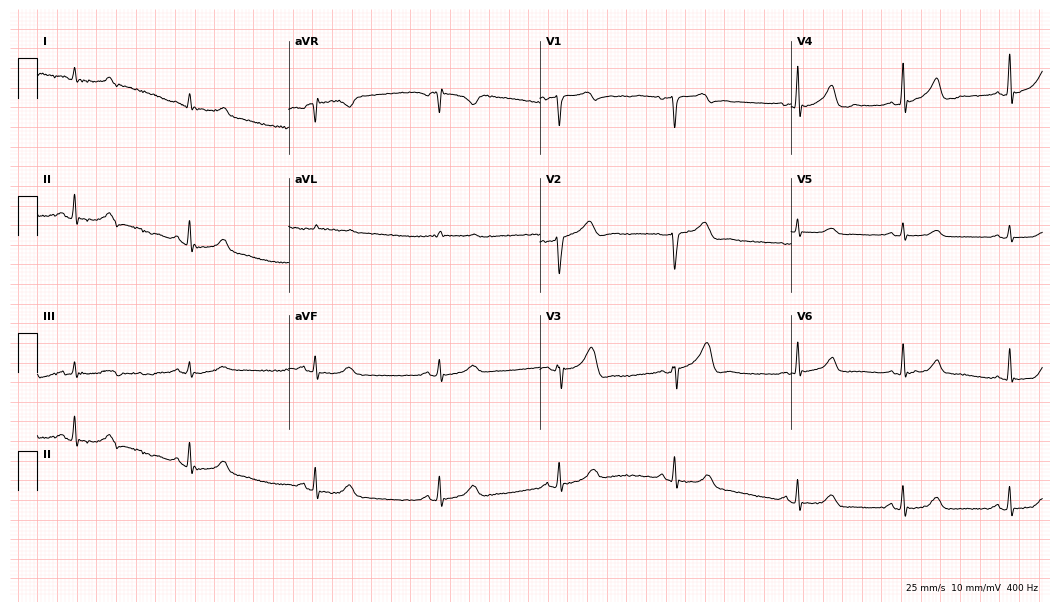
Electrocardiogram, a male, 61 years old. Of the six screened findings (first-degree AV block, right bundle branch block, left bundle branch block, sinus bradycardia, atrial fibrillation, sinus tachycardia), none is recorded. Only these six findings were labelled.